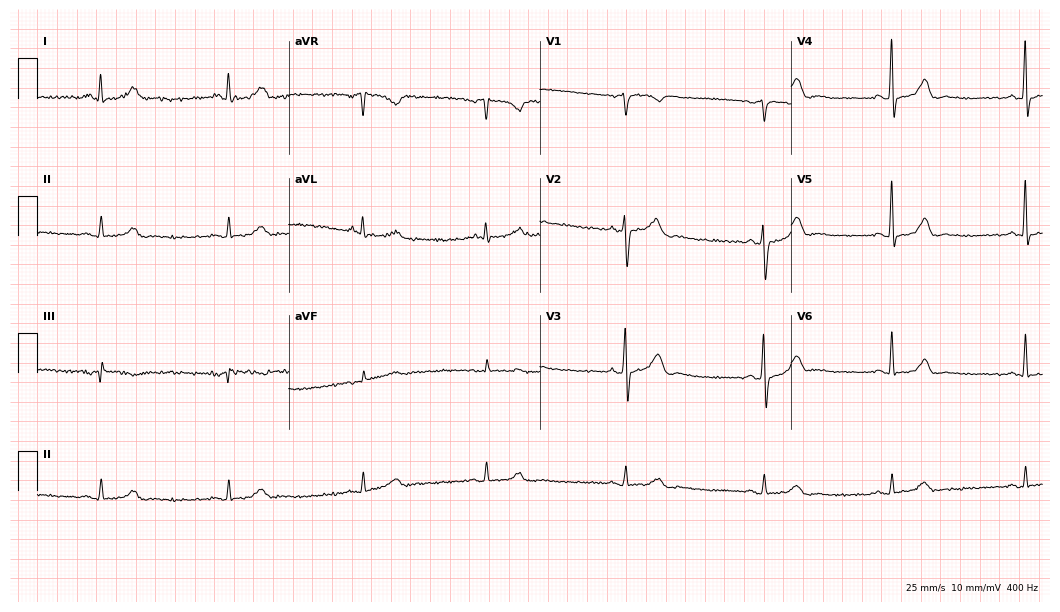
Standard 12-lead ECG recorded from a 57-year-old man (10.2-second recording at 400 Hz). The tracing shows sinus bradycardia (a sinus rate of 50 beats per minute or less).